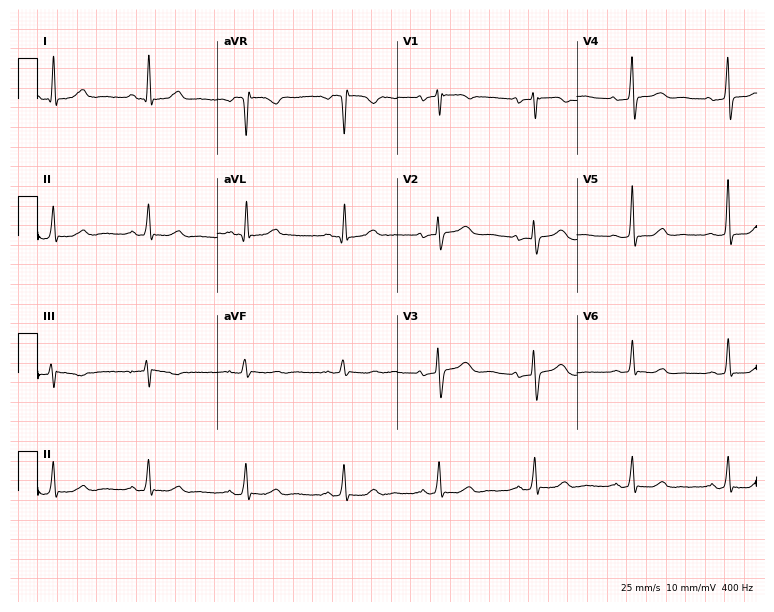
Standard 12-lead ECG recorded from a female patient, 62 years old (7.3-second recording at 400 Hz). None of these six findings is recorded: first-degree AV block, right bundle branch block, left bundle branch block, sinus bradycardia, atrial fibrillation, sinus tachycardia.